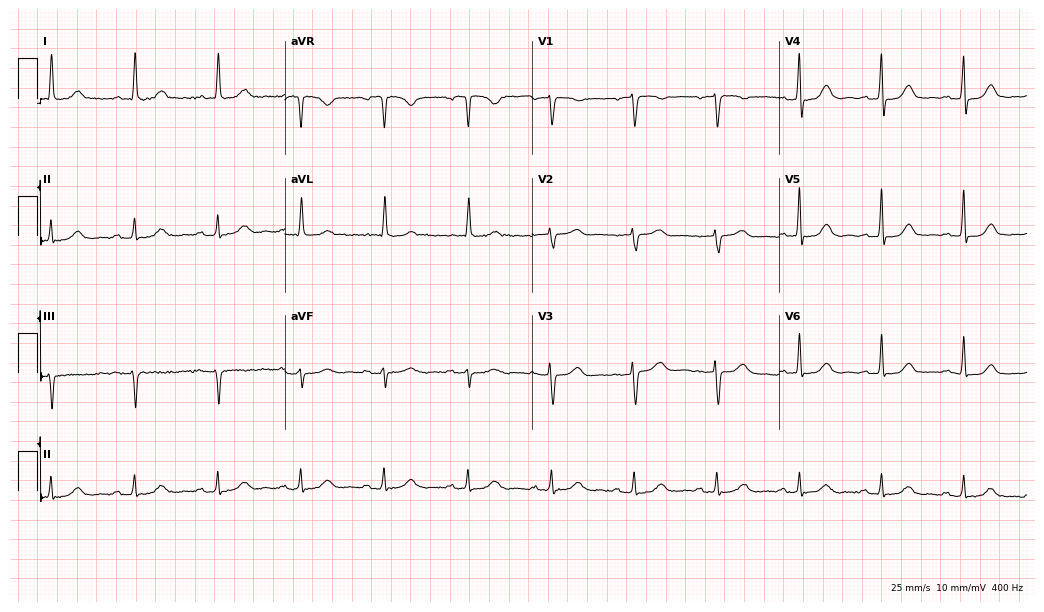
12-lead ECG from a 75-year-old female patient (10.1-second recording at 400 Hz). No first-degree AV block, right bundle branch block, left bundle branch block, sinus bradycardia, atrial fibrillation or sinus tachycardia recorded for this tracing. Findings outside these six are not listed.